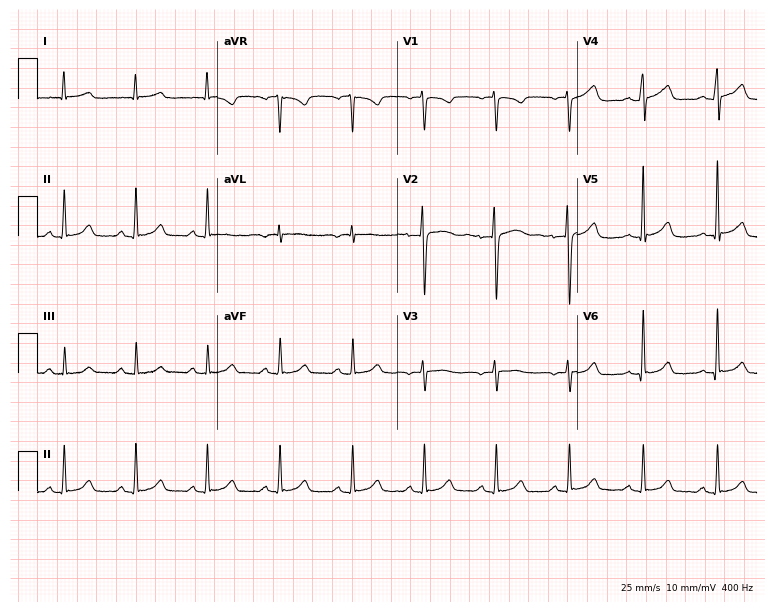
Resting 12-lead electrocardiogram (7.3-second recording at 400 Hz). Patient: a 40-year-old female. Read as a normal ECG.